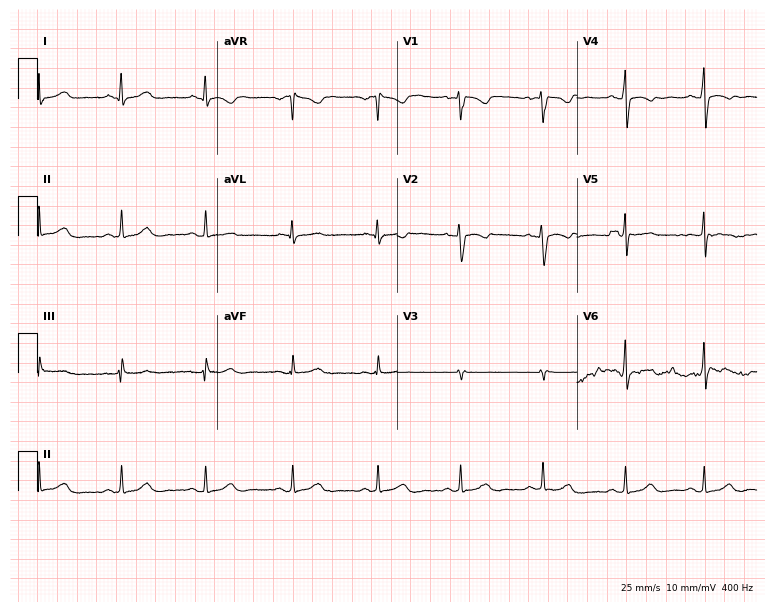
Standard 12-lead ECG recorded from a 32-year-old female (7.3-second recording at 400 Hz). None of these six findings is recorded: first-degree AV block, right bundle branch block, left bundle branch block, sinus bradycardia, atrial fibrillation, sinus tachycardia.